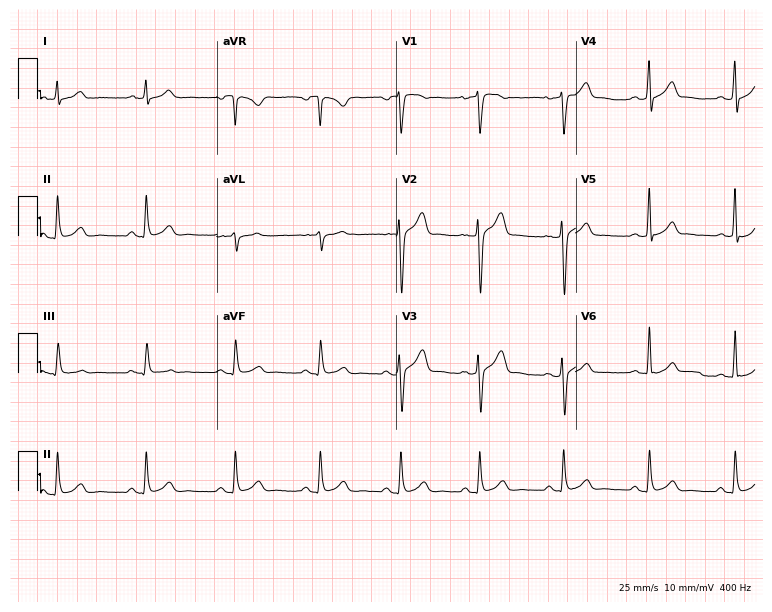
Standard 12-lead ECG recorded from a 24-year-old male (7.3-second recording at 400 Hz). Read as a normal ECG.